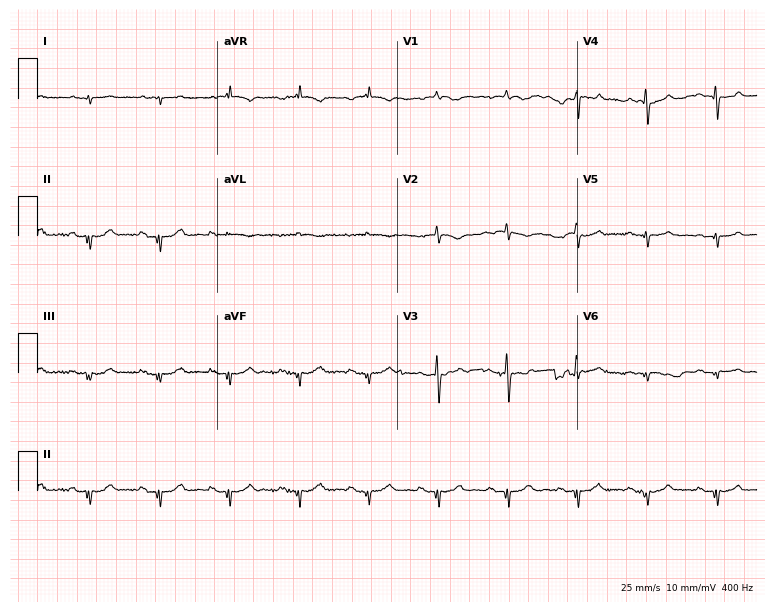
Standard 12-lead ECG recorded from a 70-year-old male patient. None of these six findings is recorded: first-degree AV block, right bundle branch block, left bundle branch block, sinus bradycardia, atrial fibrillation, sinus tachycardia.